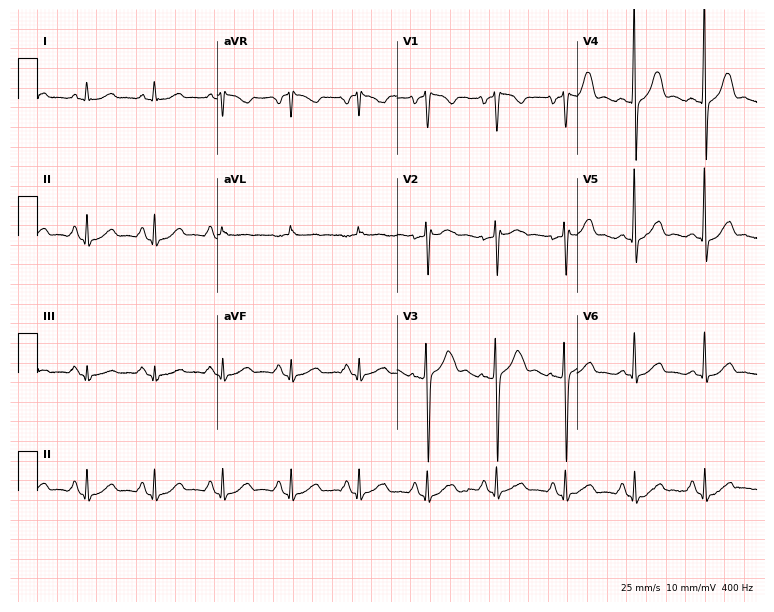
12-lead ECG (7.3-second recording at 400 Hz) from a 46-year-old woman. Labelled as a normal ECG.